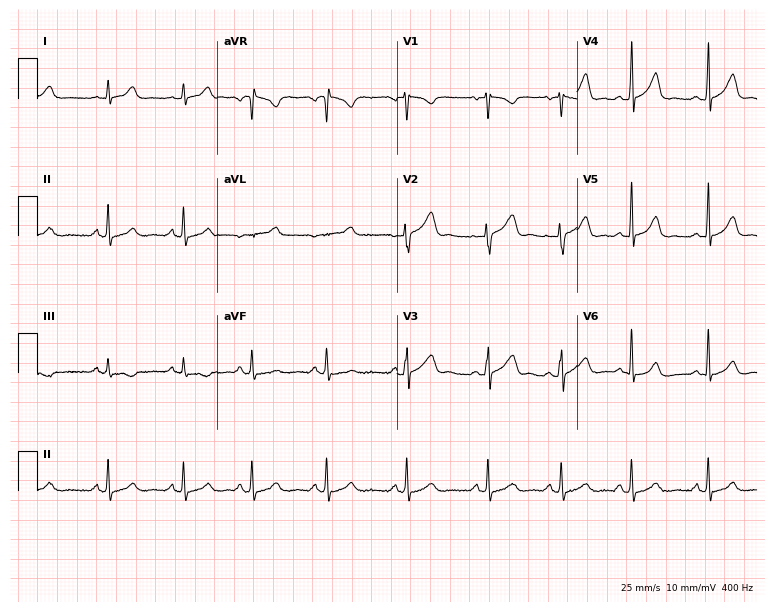
12-lead ECG from a 25-year-old female. Screened for six findings — first-degree AV block, right bundle branch block, left bundle branch block, sinus bradycardia, atrial fibrillation, sinus tachycardia — none is recorded. Only these six findings were labelled.